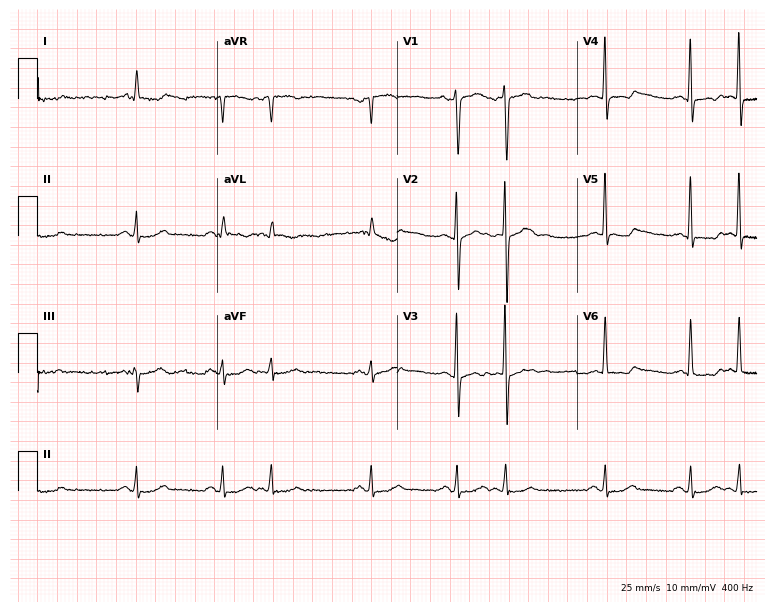
12-lead ECG from a 69-year-old male patient. No first-degree AV block, right bundle branch block, left bundle branch block, sinus bradycardia, atrial fibrillation or sinus tachycardia recorded for this tracing.